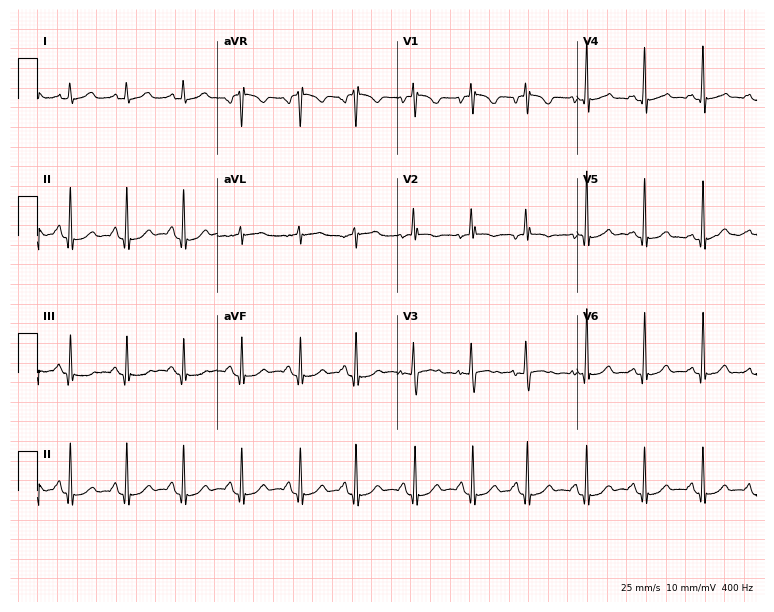
Standard 12-lead ECG recorded from a 19-year-old female (7.3-second recording at 400 Hz). Read as a normal ECG.